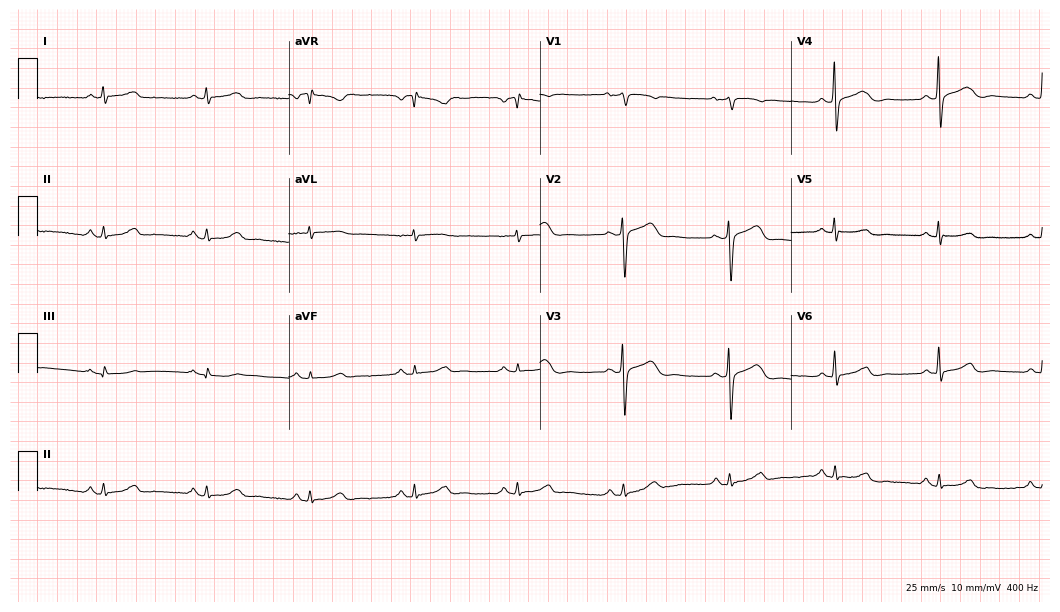
ECG (10.2-second recording at 400 Hz) — a 69-year-old female. Labelled as a normal ECG.